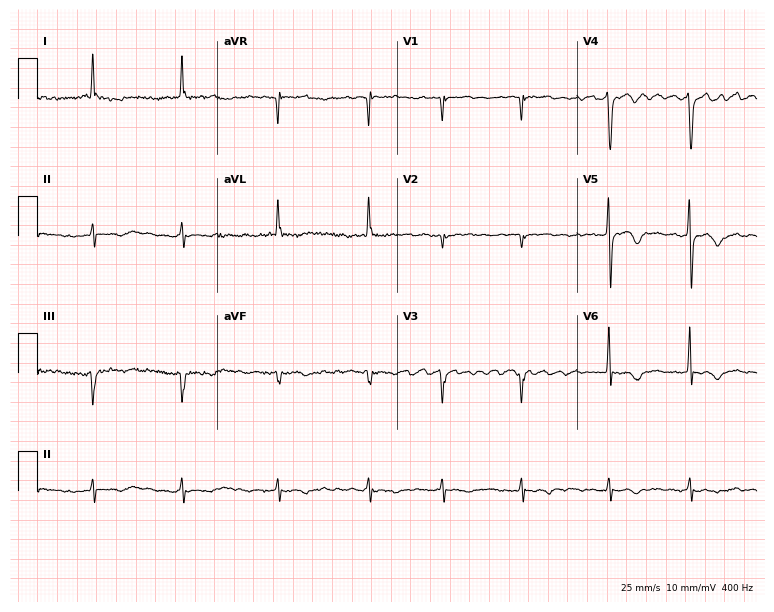
12-lead ECG (7.3-second recording at 400 Hz) from a 74-year-old woman. Findings include atrial fibrillation.